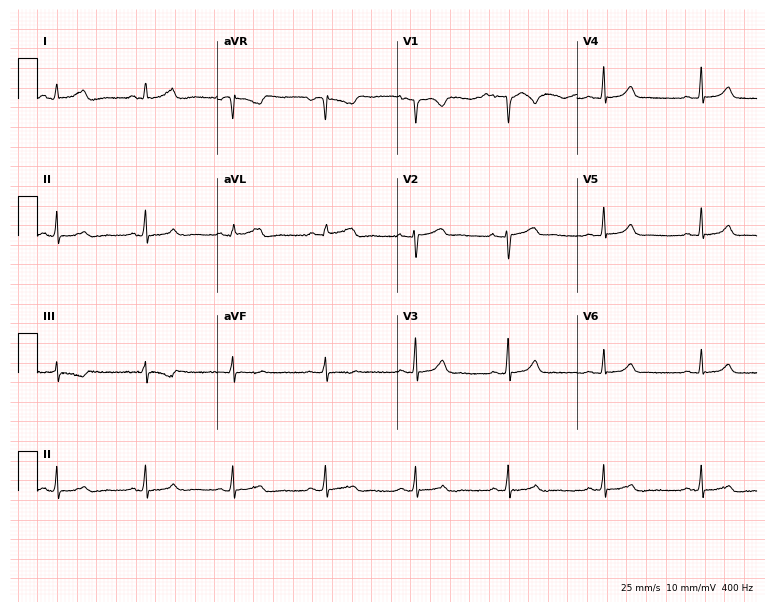
12-lead ECG from a female patient, 34 years old. Recorded interpretation: within normal limits.